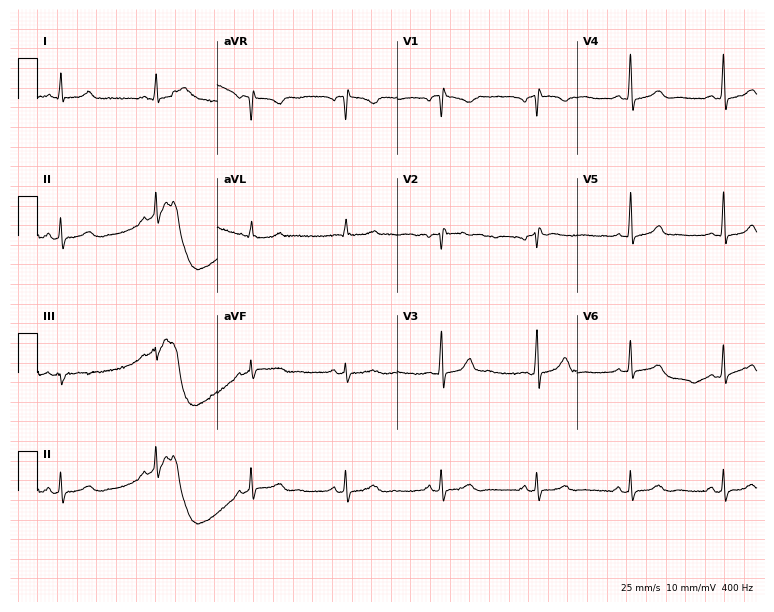
12-lead ECG (7.3-second recording at 400 Hz) from a woman, 39 years old. Screened for six findings — first-degree AV block, right bundle branch block, left bundle branch block, sinus bradycardia, atrial fibrillation, sinus tachycardia — none is recorded.